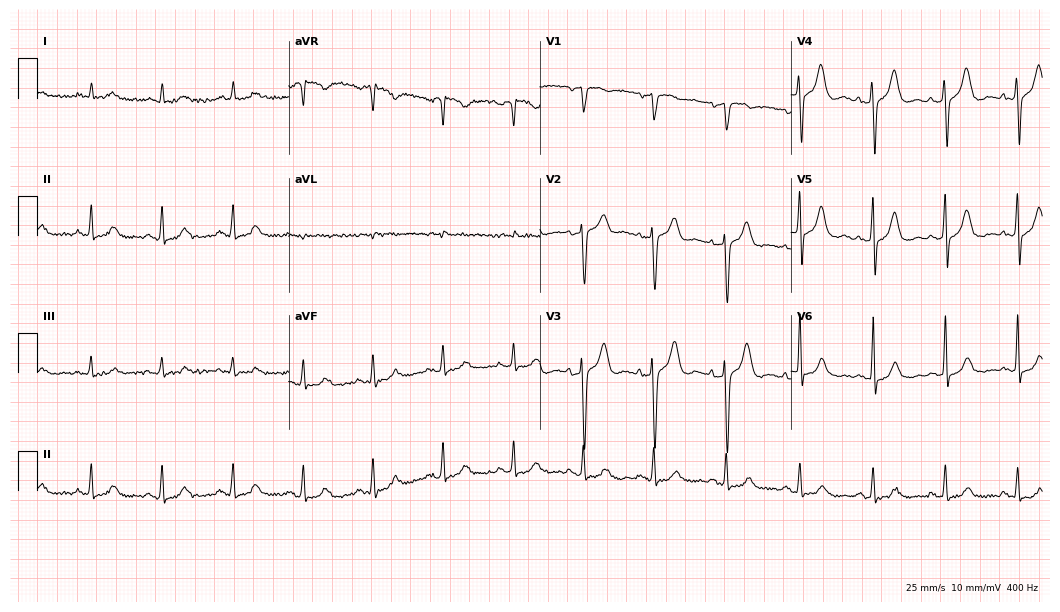
Resting 12-lead electrocardiogram (10.2-second recording at 400 Hz). Patient: a 70-year-old male. Read as a normal ECG.